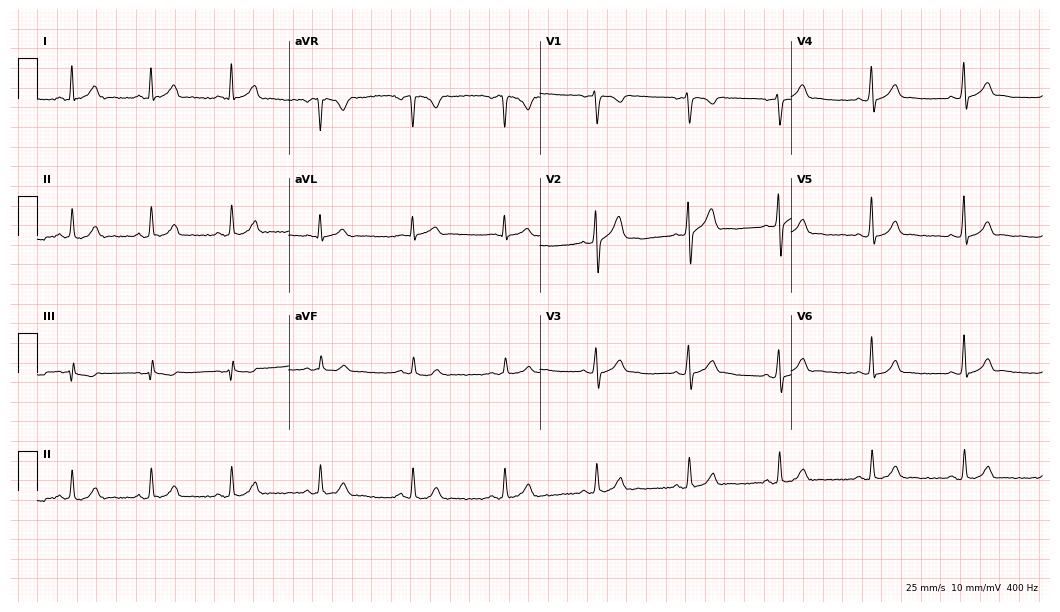
Standard 12-lead ECG recorded from a 36-year-old male patient. Read as a normal ECG.